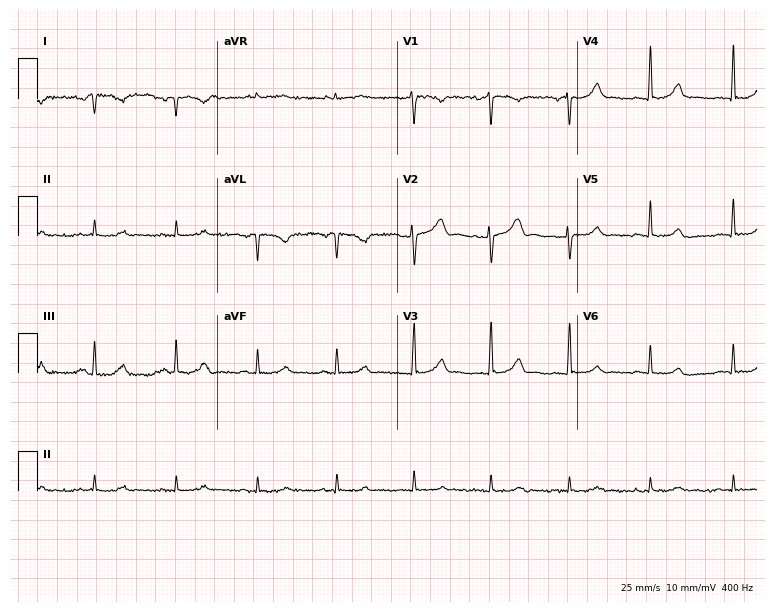
Electrocardiogram (7.3-second recording at 400 Hz), a female, 44 years old. Of the six screened findings (first-degree AV block, right bundle branch block (RBBB), left bundle branch block (LBBB), sinus bradycardia, atrial fibrillation (AF), sinus tachycardia), none is recorded.